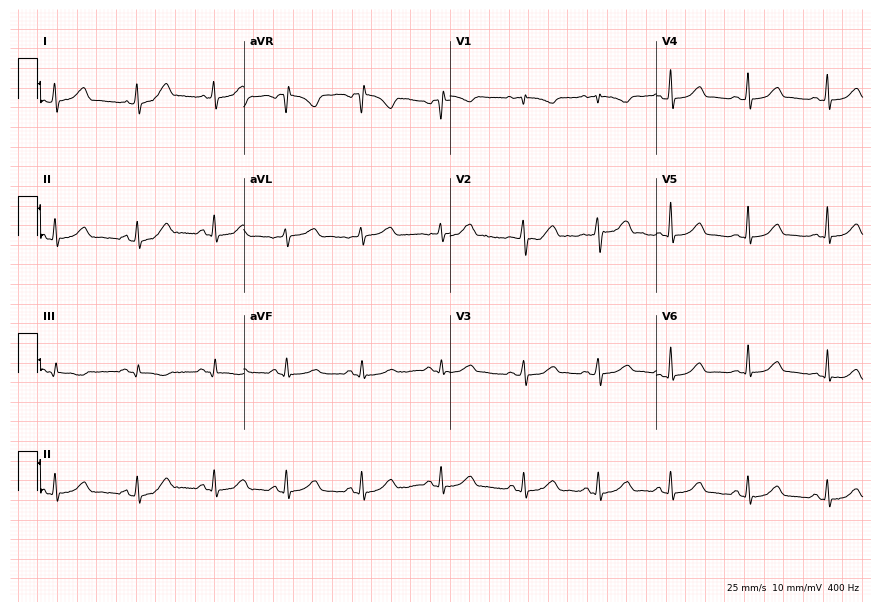
12-lead ECG from a female, 41 years old. Screened for six findings — first-degree AV block, right bundle branch block, left bundle branch block, sinus bradycardia, atrial fibrillation, sinus tachycardia — none is recorded.